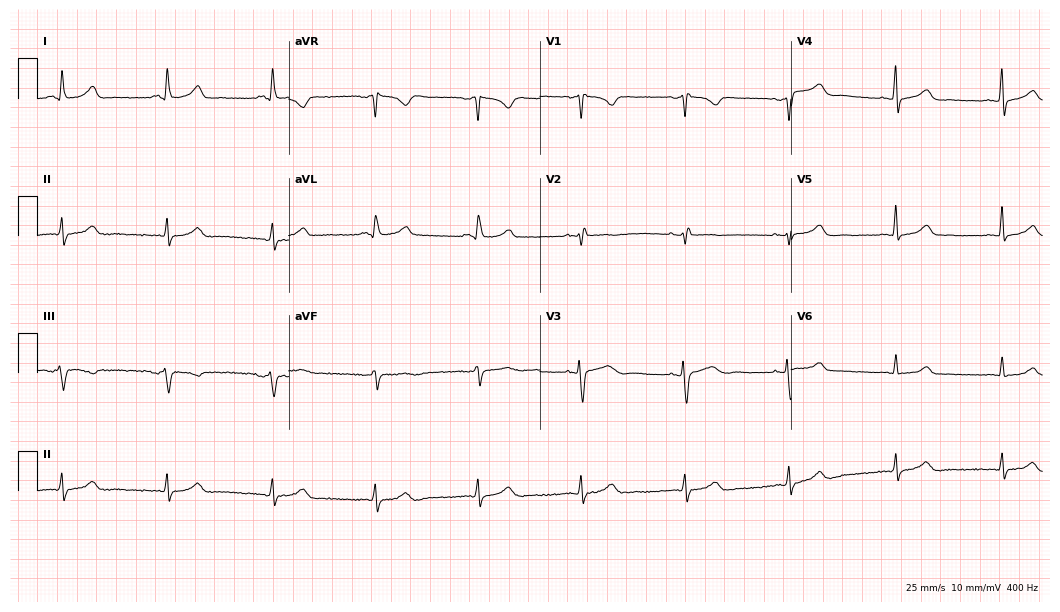
12-lead ECG (10.2-second recording at 400 Hz) from a female, 50 years old. Screened for six findings — first-degree AV block, right bundle branch block (RBBB), left bundle branch block (LBBB), sinus bradycardia, atrial fibrillation (AF), sinus tachycardia — none is recorded.